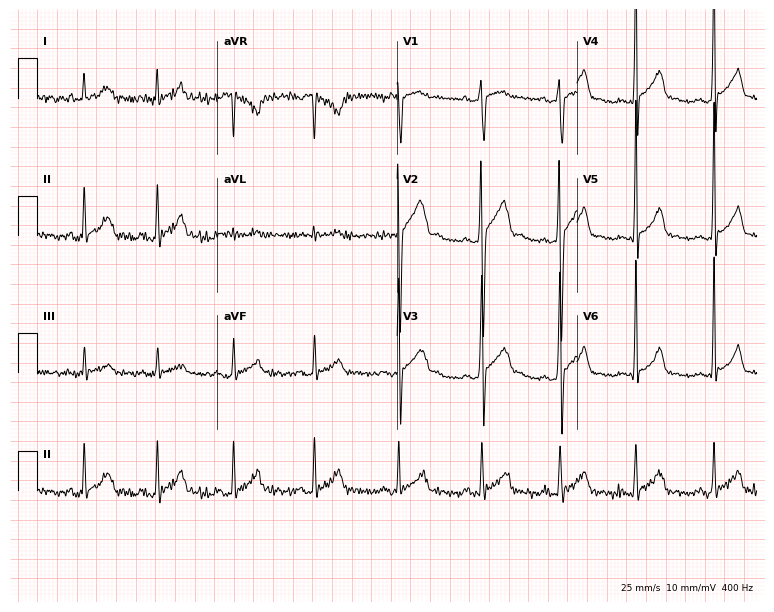
12-lead ECG from a male patient, 20 years old. Labelled as a normal ECG.